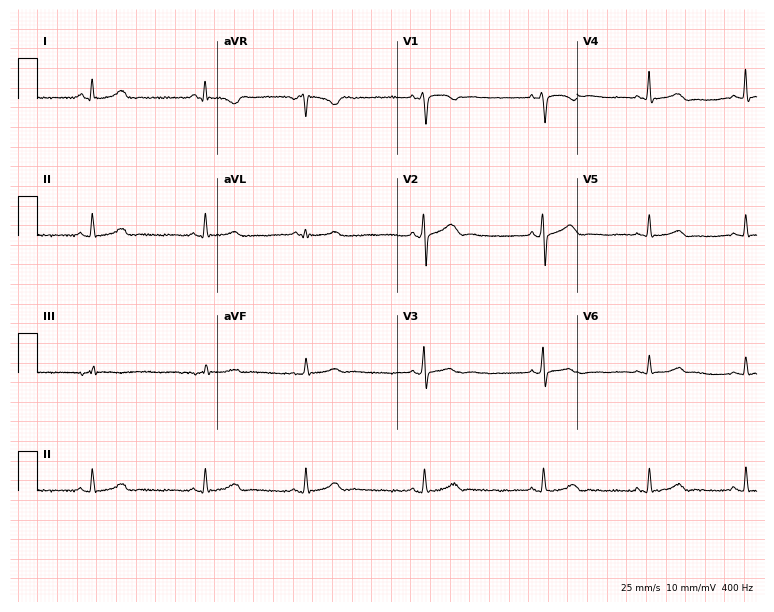
Standard 12-lead ECG recorded from a female, 31 years old. None of these six findings is recorded: first-degree AV block, right bundle branch block, left bundle branch block, sinus bradycardia, atrial fibrillation, sinus tachycardia. Only these six findings were labelled.